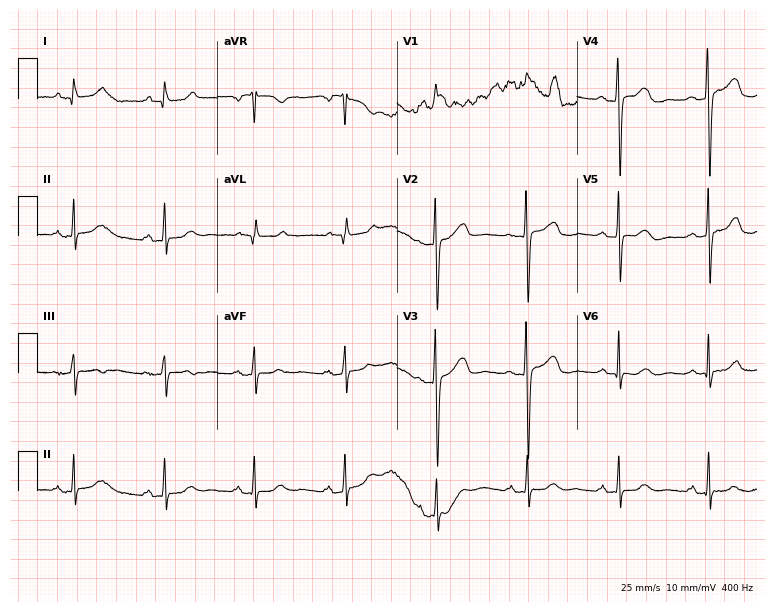
12-lead ECG (7.3-second recording at 400 Hz) from a female patient, 50 years old. Screened for six findings — first-degree AV block, right bundle branch block, left bundle branch block, sinus bradycardia, atrial fibrillation, sinus tachycardia — none is recorded. Findings outside these six are not listed.